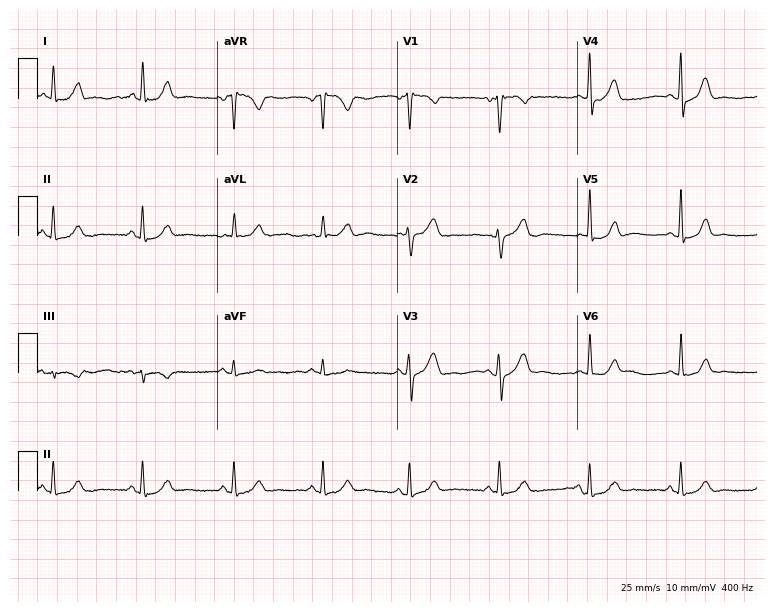
12-lead ECG from a female, 45 years old. Labelled as a normal ECG.